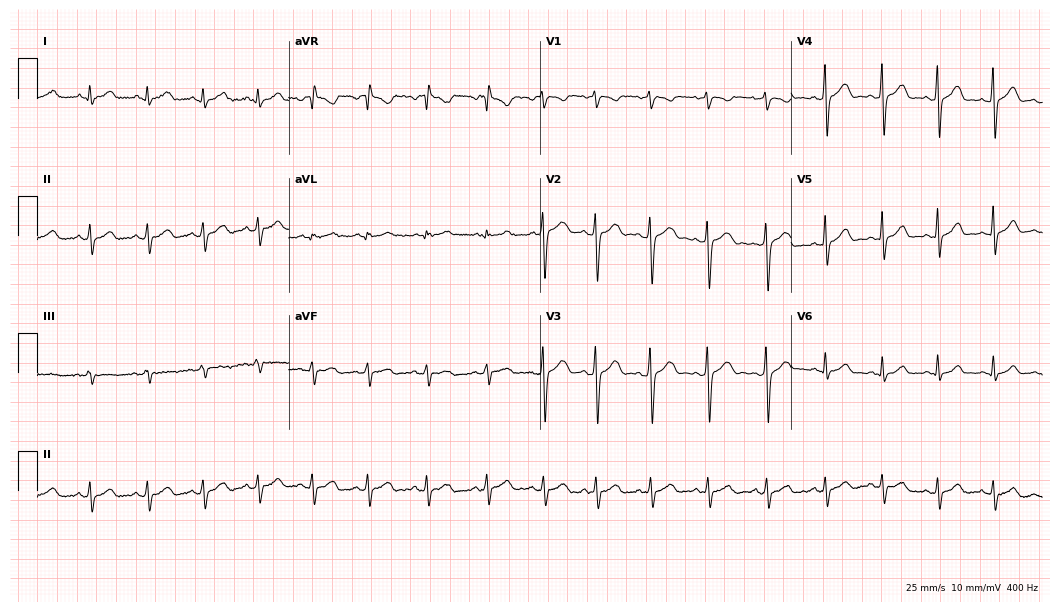
Resting 12-lead electrocardiogram. Patient: a 17-year-old female. The tracing shows sinus tachycardia (a sinus rate of 100 beats per minute or more).